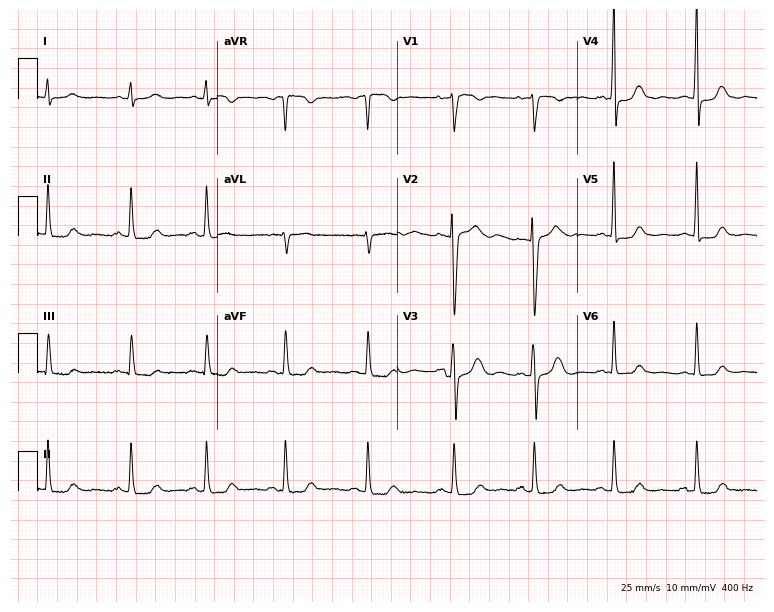
Standard 12-lead ECG recorded from a 46-year-old female. Read as a normal ECG.